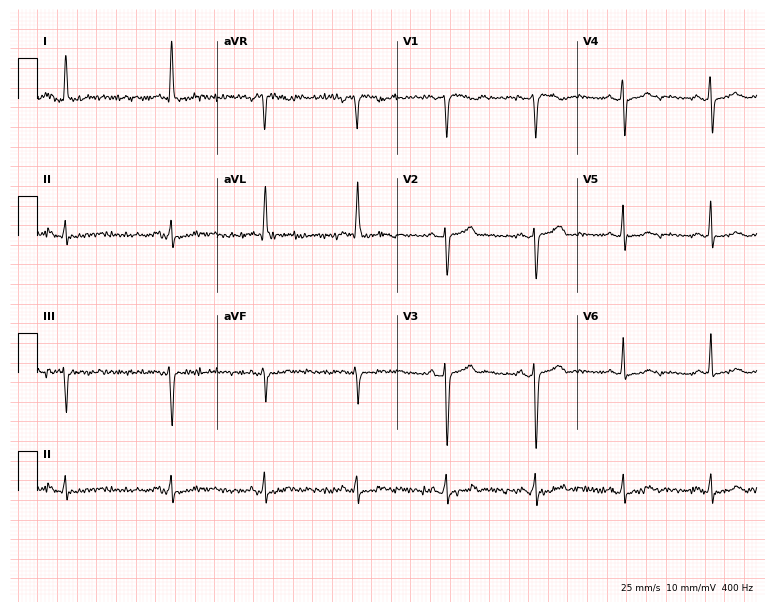
12-lead ECG from a 63-year-old female patient. Labelled as a normal ECG.